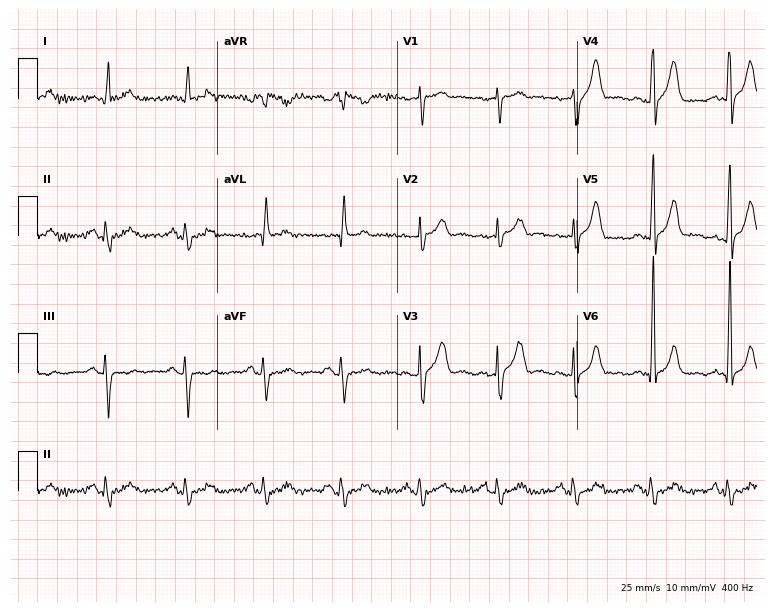
Standard 12-lead ECG recorded from a 64-year-old man. None of these six findings is recorded: first-degree AV block, right bundle branch block, left bundle branch block, sinus bradycardia, atrial fibrillation, sinus tachycardia. Findings outside these six are not listed.